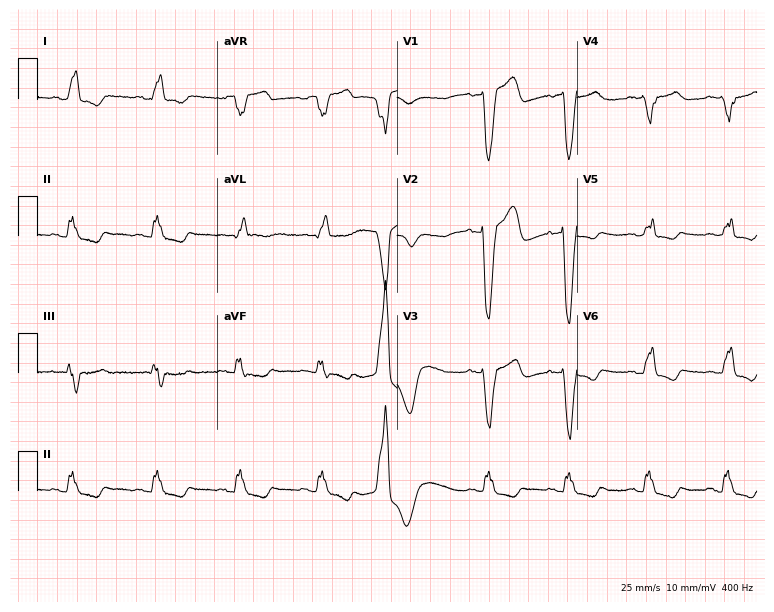
Resting 12-lead electrocardiogram (7.3-second recording at 400 Hz). Patient: a male, 62 years old. The tracing shows left bundle branch block.